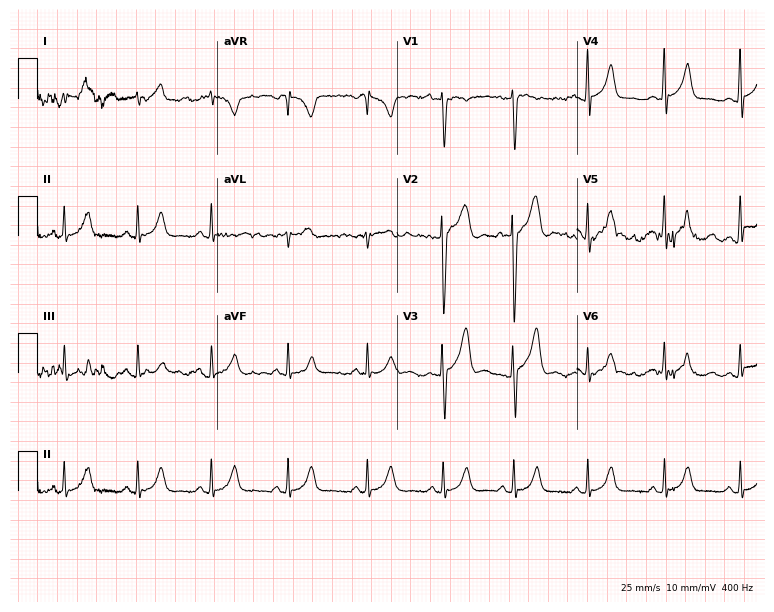
Standard 12-lead ECG recorded from a male, 22 years old. Read as a normal ECG.